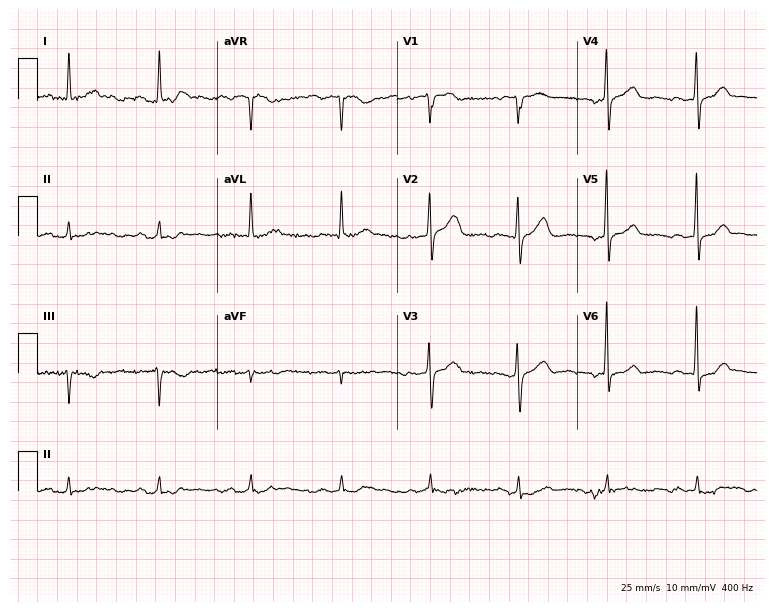
12-lead ECG from a 54-year-old woman. Shows first-degree AV block.